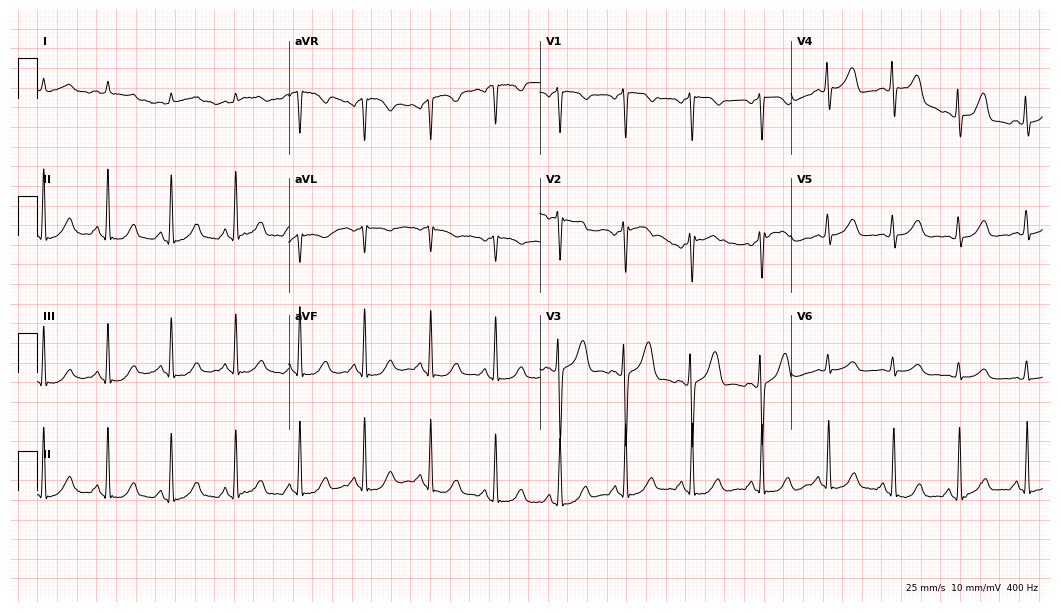
ECG — a 62-year-old man. Screened for six findings — first-degree AV block, right bundle branch block (RBBB), left bundle branch block (LBBB), sinus bradycardia, atrial fibrillation (AF), sinus tachycardia — none is recorded. Other findings, if any, are not listed.